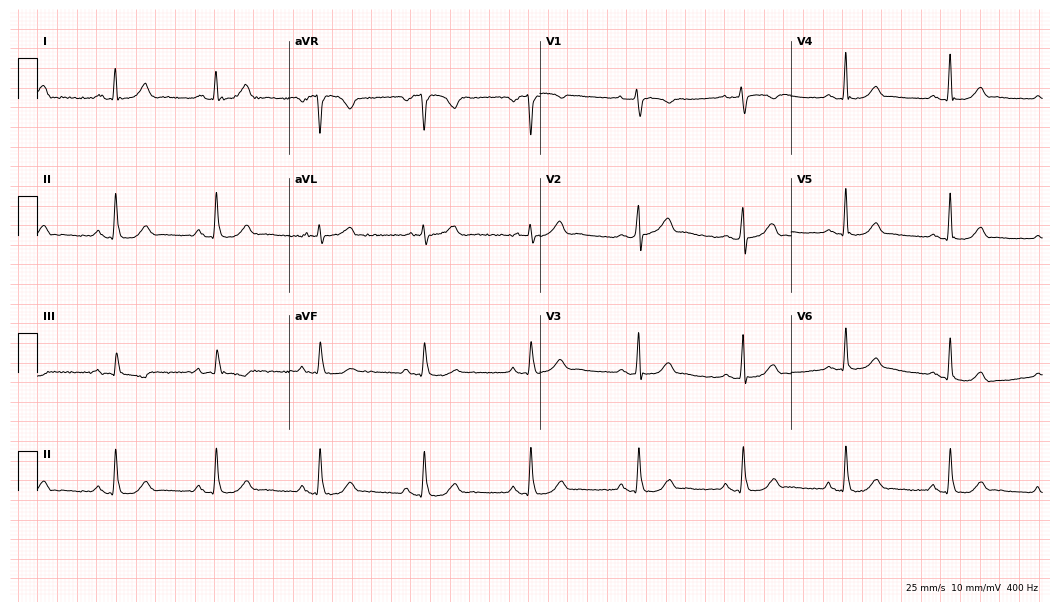
Standard 12-lead ECG recorded from a 61-year-old female patient (10.2-second recording at 400 Hz). None of these six findings is recorded: first-degree AV block, right bundle branch block (RBBB), left bundle branch block (LBBB), sinus bradycardia, atrial fibrillation (AF), sinus tachycardia. Only these six findings were labelled.